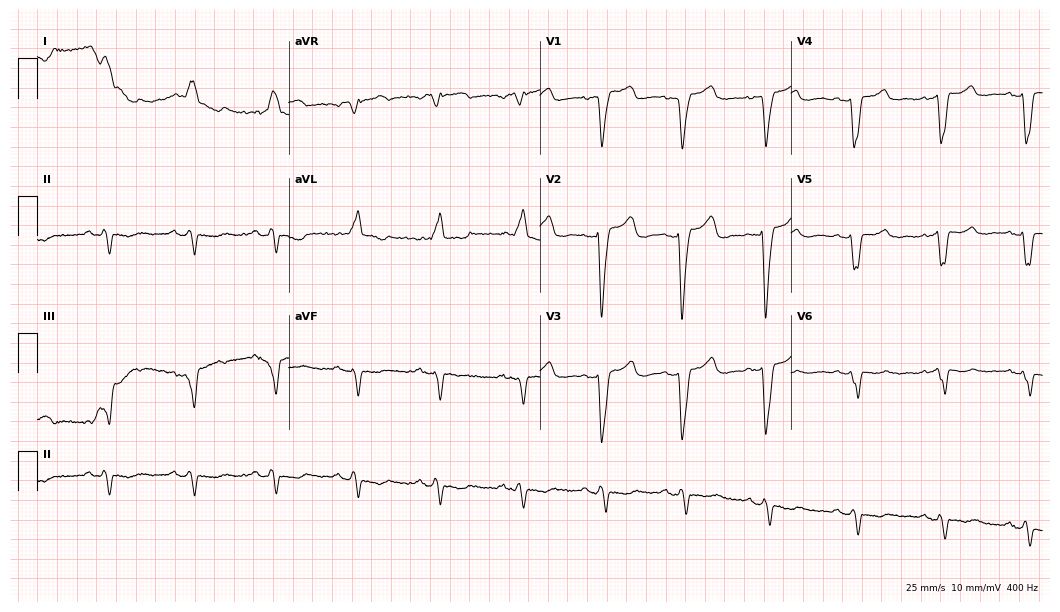
Standard 12-lead ECG recorded from an 85-year-old woman. The tracing shows left bundle branch block (LBBB).